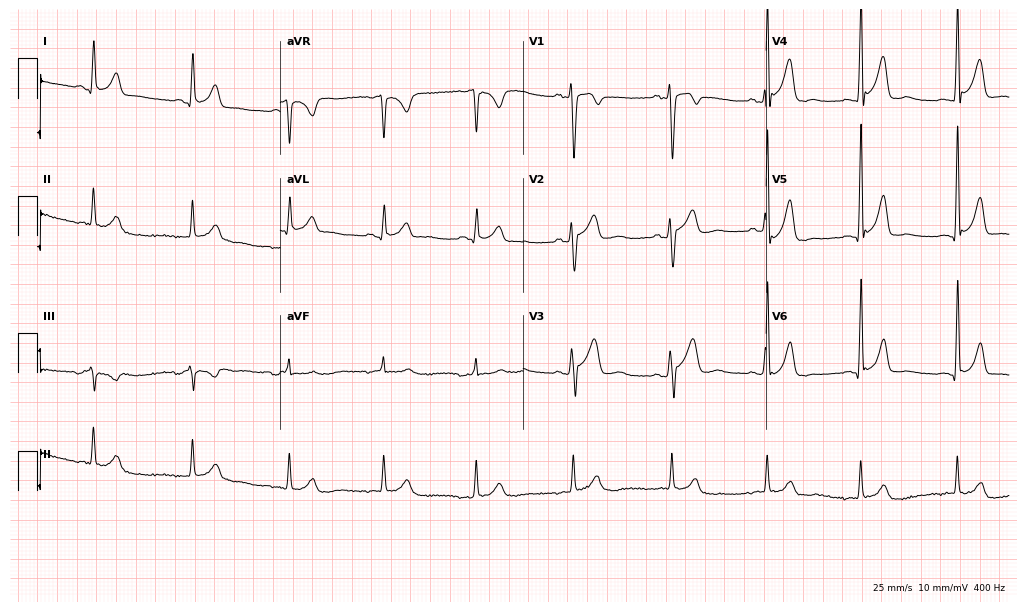
12-lead ECG (9.9-second recording at 400 Hz) from a 29-year-old man. Screened for six findings — first-degree AV block, right bundle branch block (RBBB), left bundle branch block (LBBB), sinus bradycardia, atrial fibrillation (AF), sinus tachycardia — none is recorded.